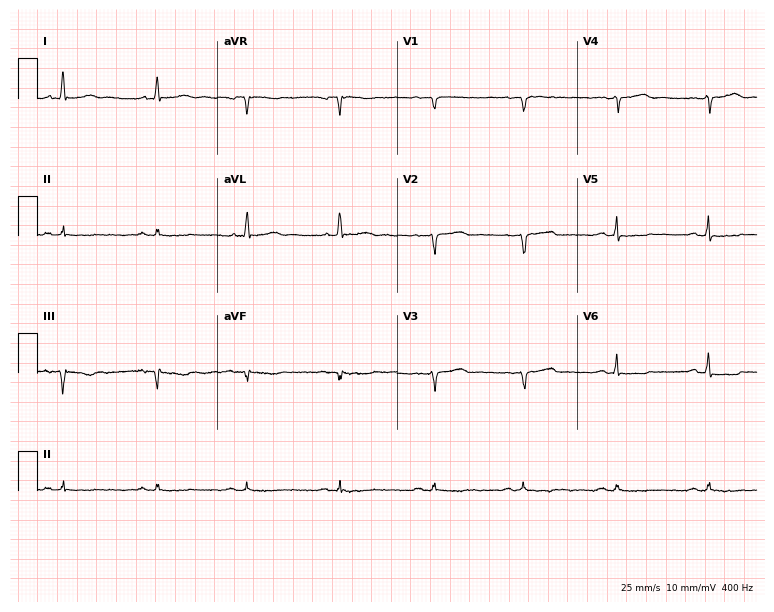
Resting 12-lead electrocardiogram. Patient: a 61-year-old woman. None of these six findings is recorded: first-degree AV block, right bundle branch block, left bundle branch block, sinus bradycardia, atrial fibrillation, sinus tachycardia.